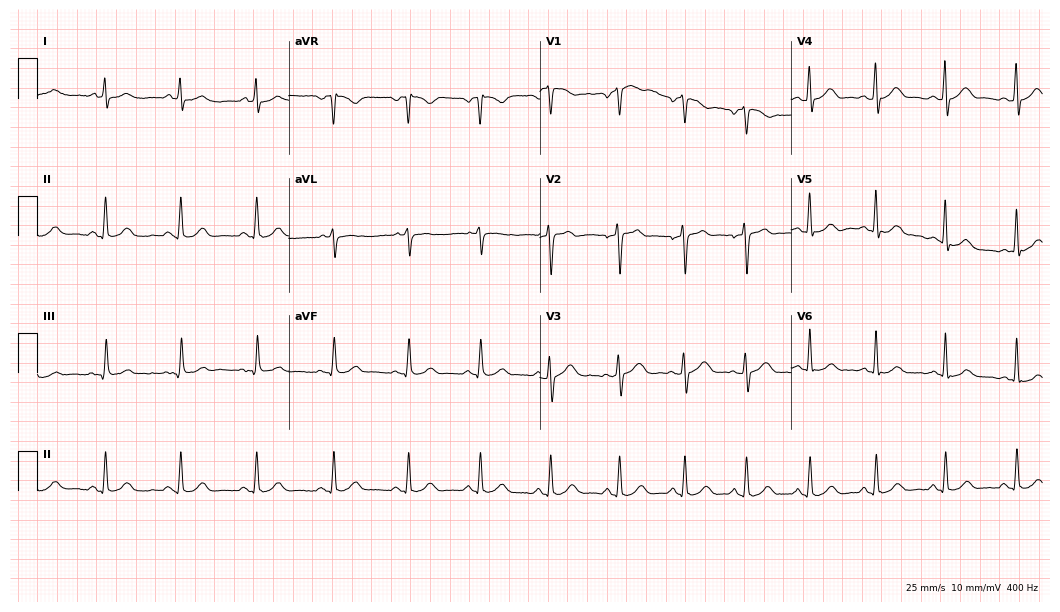
12-lead ECG from a man, 37 years old. No first-degree AV block, right bundle branch block (RBBB), left bundle branch block (LBBB), sinus bradycardia, atrial fibrillation (AF) or sinus tachycardia recorded for this tracing.